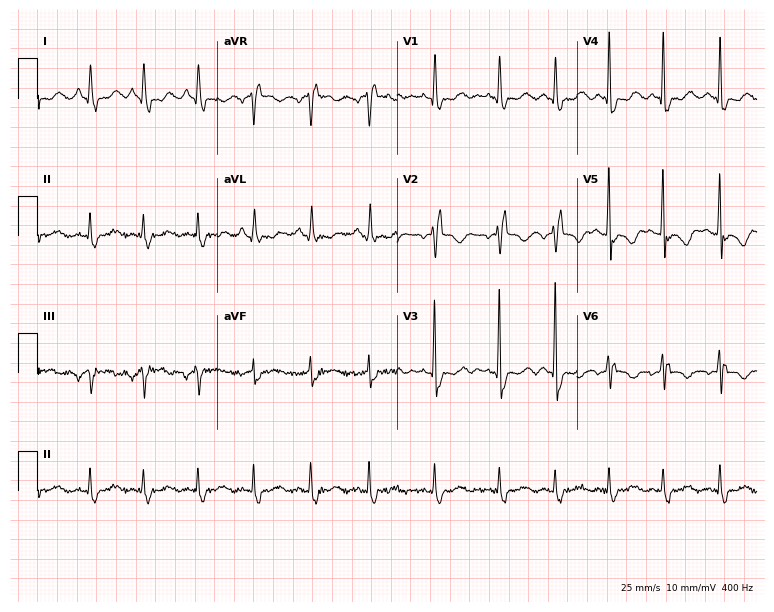
ECG — a 44-year-old woman. Findings include right bundle branch block, sinus tachycardia (a sinus rate of 100 beats per minute or more).